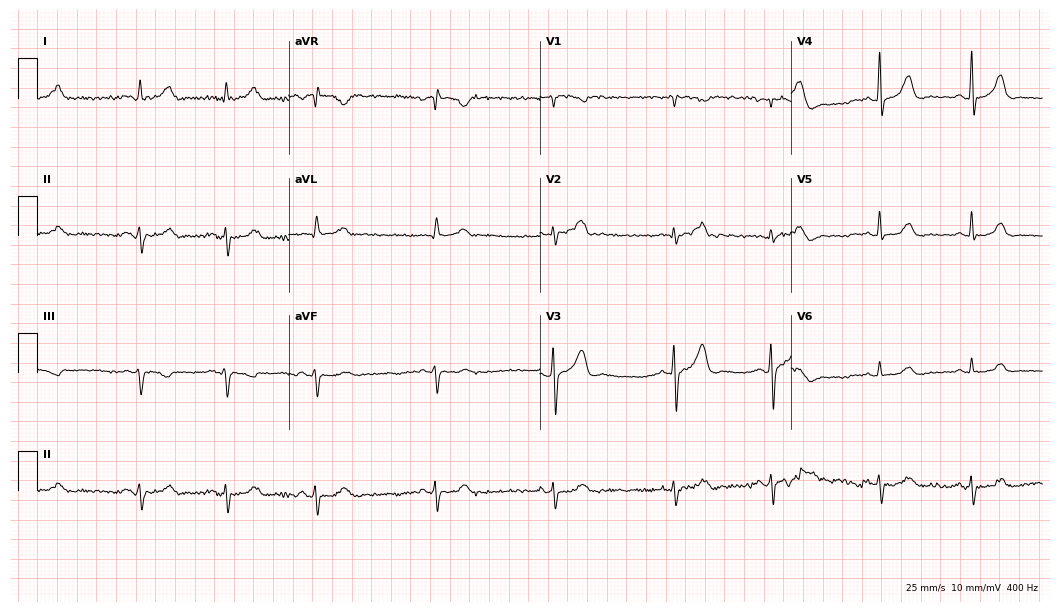
12-lead ECG from a 37-year-old male. Screened for six findings — first-degree AV block, right bundle branch block, left bundle branch block, sinus bradycardia, atrial fibrillation, sinus tachycardia — none is recorded. Findings outside these six are not listed.